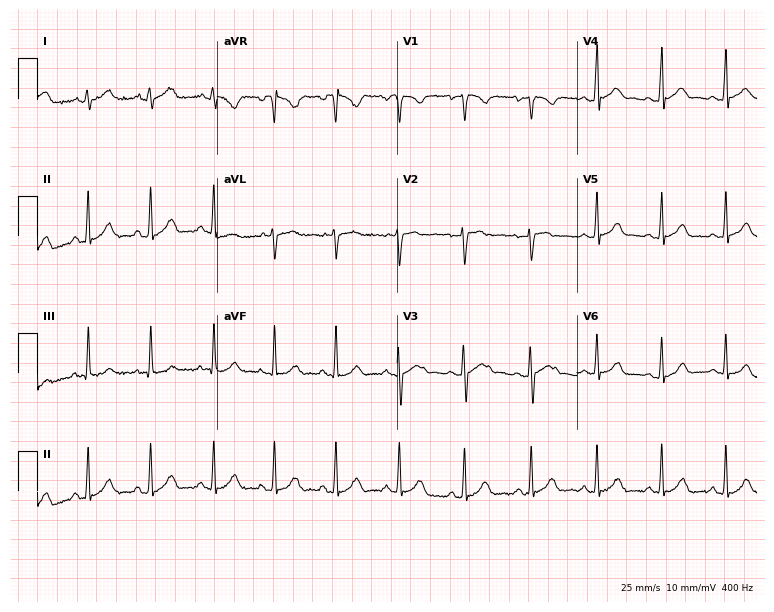
ECG (7.3-second recording at 400 Hz) — an 18-year-old woman. Labelled as a normal ECG.